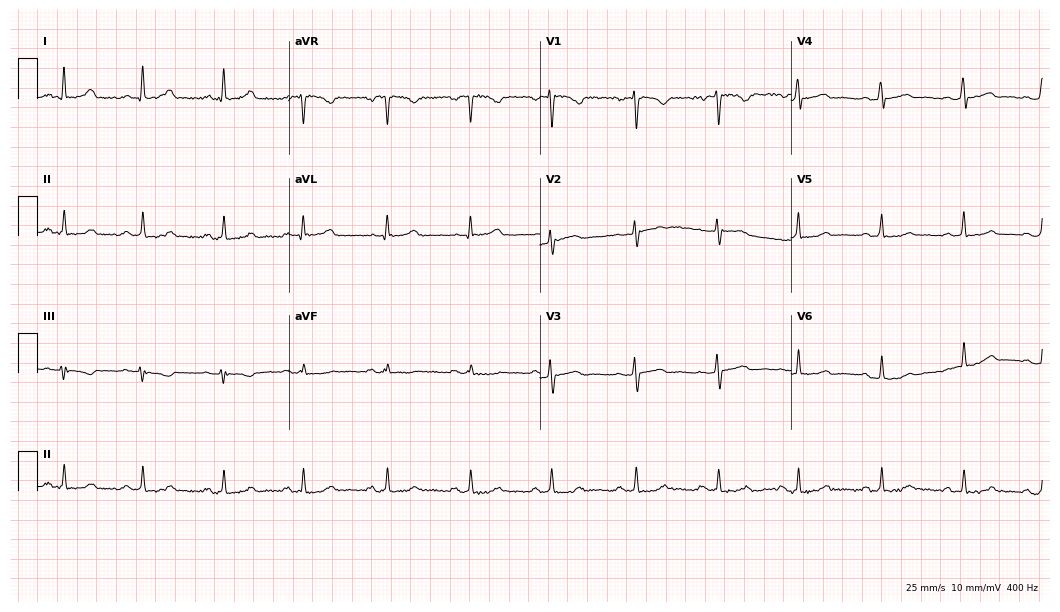
Standard 12-lead ECG recorded from a 25-year-old female patient. Read as a normal ECG.